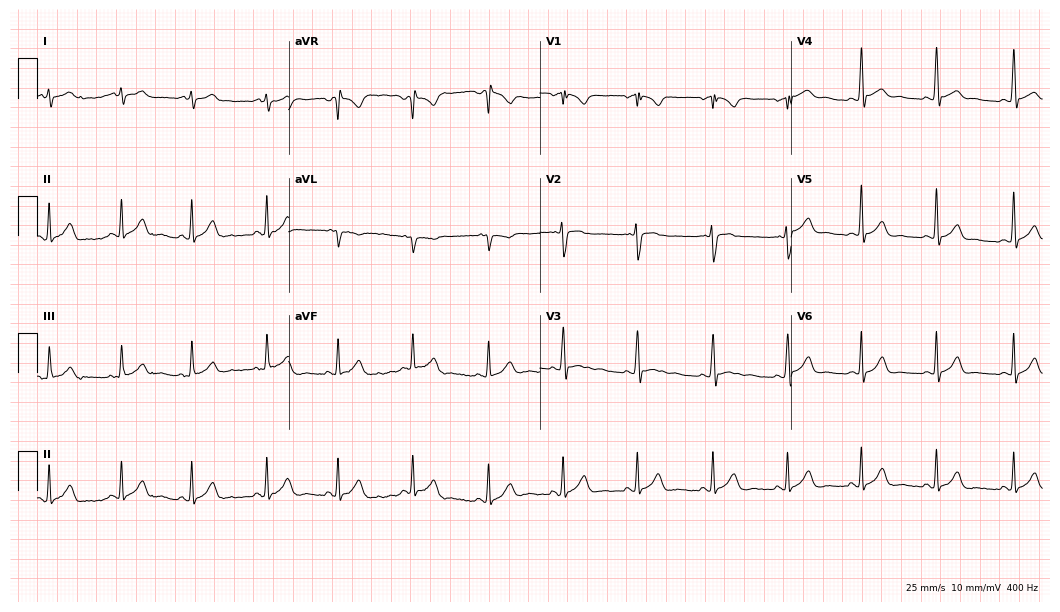
Resting 12-lead electrocardiogram (10.2-second recording at 400 Hz). Patient: a 21-year-old man. Read as a normal ECG.